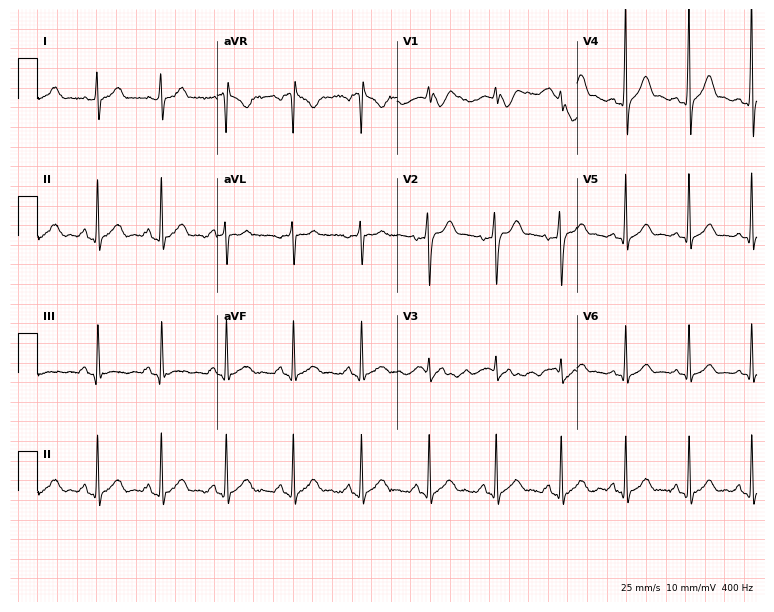
ECG (7.3-second recording at 400 Hz) — a male, 23 years old. Labelled as a normal ECG.